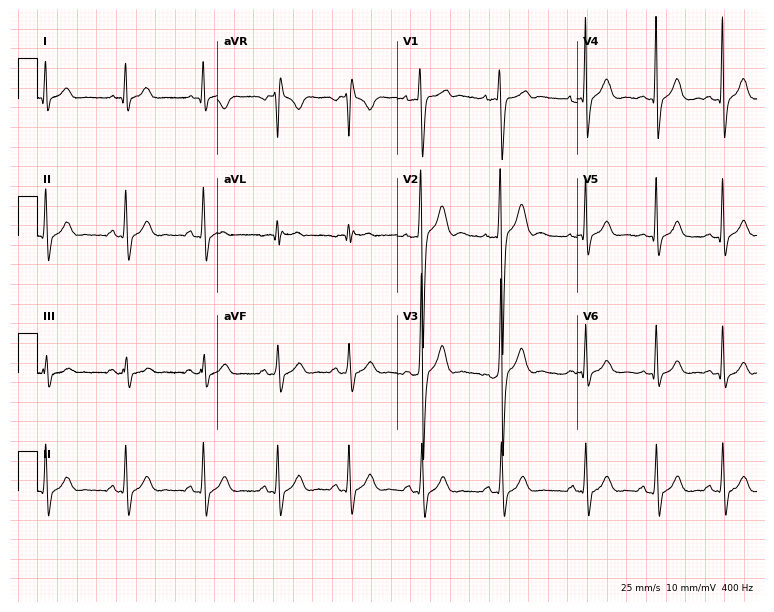
Electrocardiogram, a male, 18 years old. Of the six screened findings (first-degree AV block, right bundle branch block, left bundle branch block, sinus bradycardia, atrial fibrillation, sinus tachycardia), none is recorded.